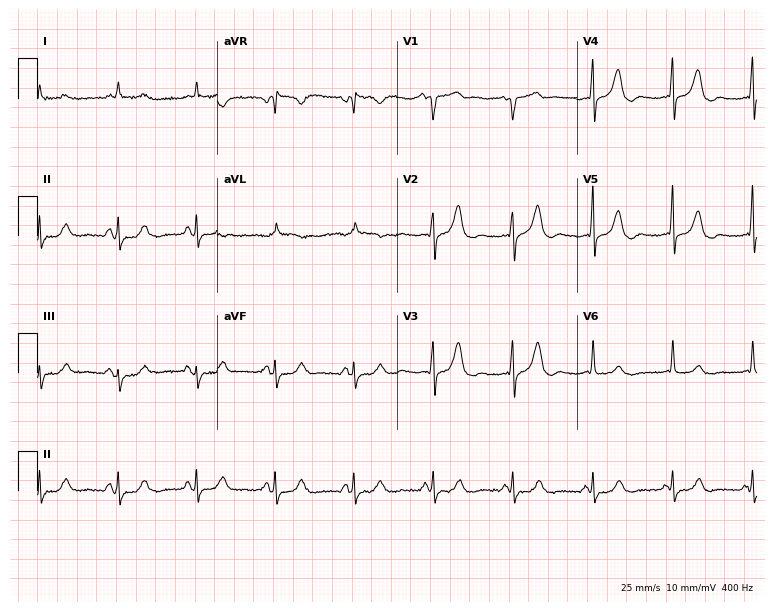
ECG (7.3-second recording at 400 Hz) — a man, 68 years old. Screened for six findings — first-degree AV block, right bundle branch block, left bundle branch block, sinus bradycardia, atrial fibrillation, sinus tachycardia — none is recorded.